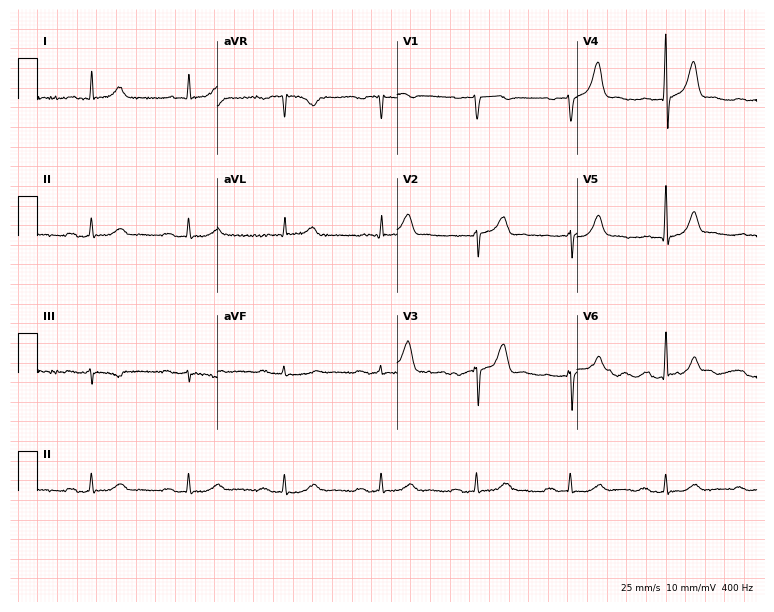
12-lead ECG from a male, 62 years old. Labelled as a normal ECG.